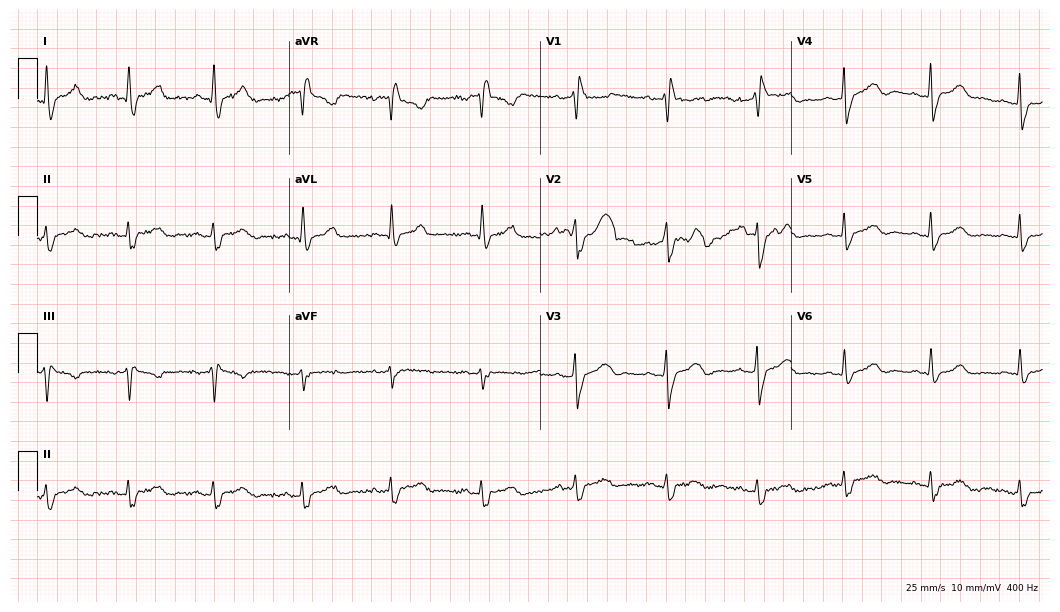
Resting 12-lead electrocardiogram. Patient: a 49-year-old male. The tracing shows right bundle branch block (RBBB).